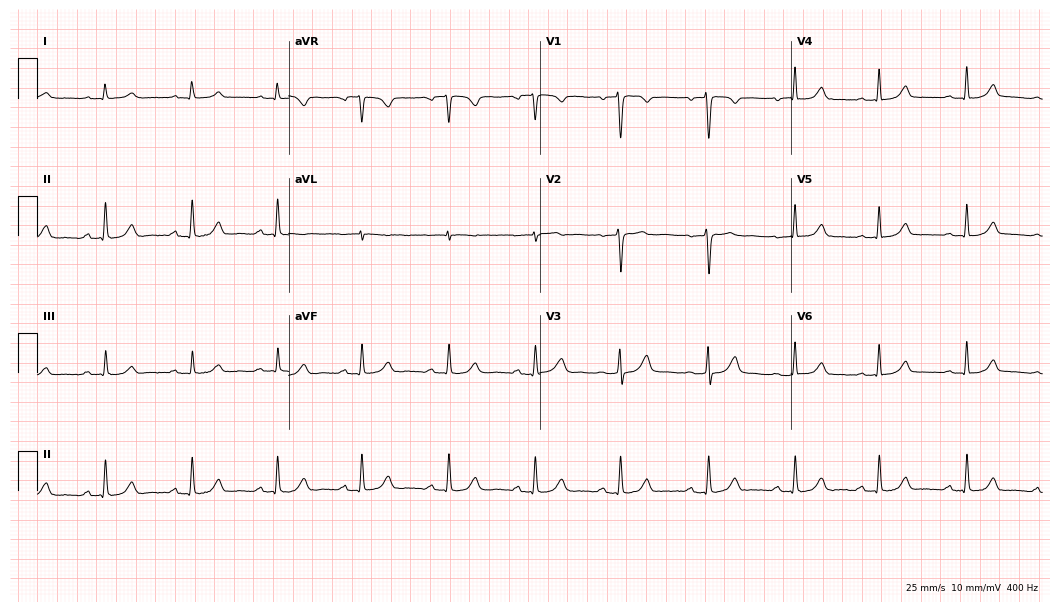
Standard 12-lead ECG recorded from a woman, 38 years old (10.2-second recording at 400 Hz). Read as a normal ECG.